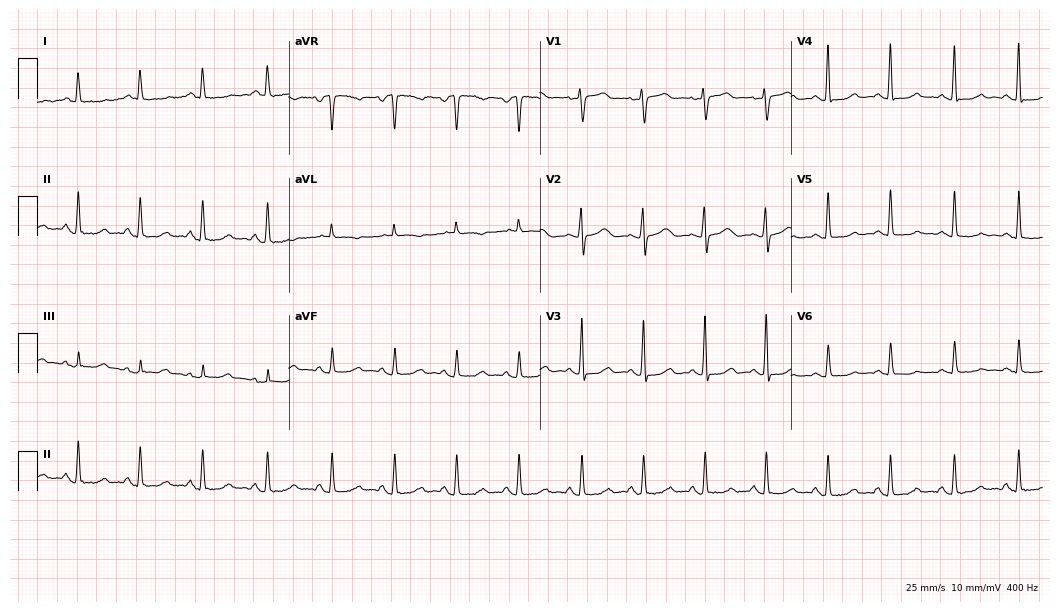
Electrocardiogram (10.2-second recording at 400 Hz), a female, 62 years old. Of the six screened findings (first-degree AV block, right bundle branch block, left bundle branch block, sinus bradycardia, atrial fibrillation, sinus tachycardia), none is recorded. Findings outside these six are not listed.